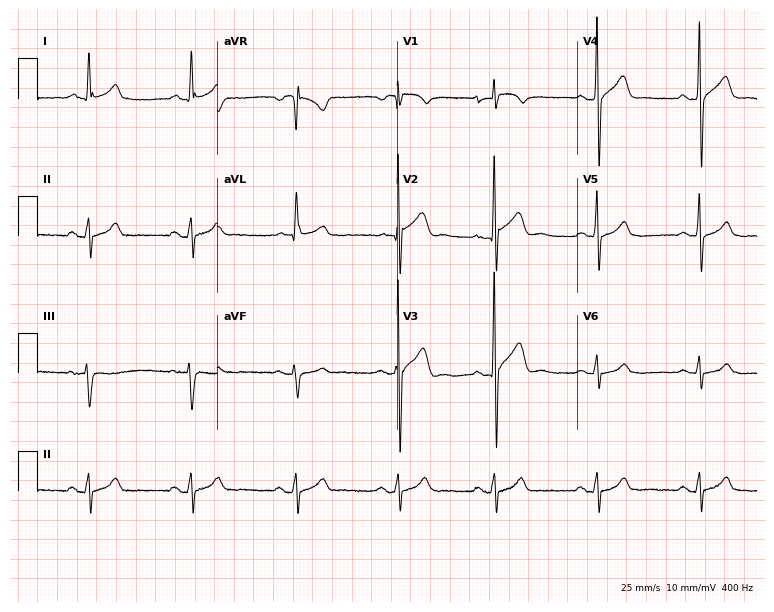
12-lead ECG (7.3-second recording at 400 Hz) from a 69-year-old male patient. Screened for six findings — first-degree AV block, right bundle branch block, left bundle branch block, sinus bradycardia, atrial fibrillation, sinus tachycardia — none is recorded. Only these six findings were labelled.